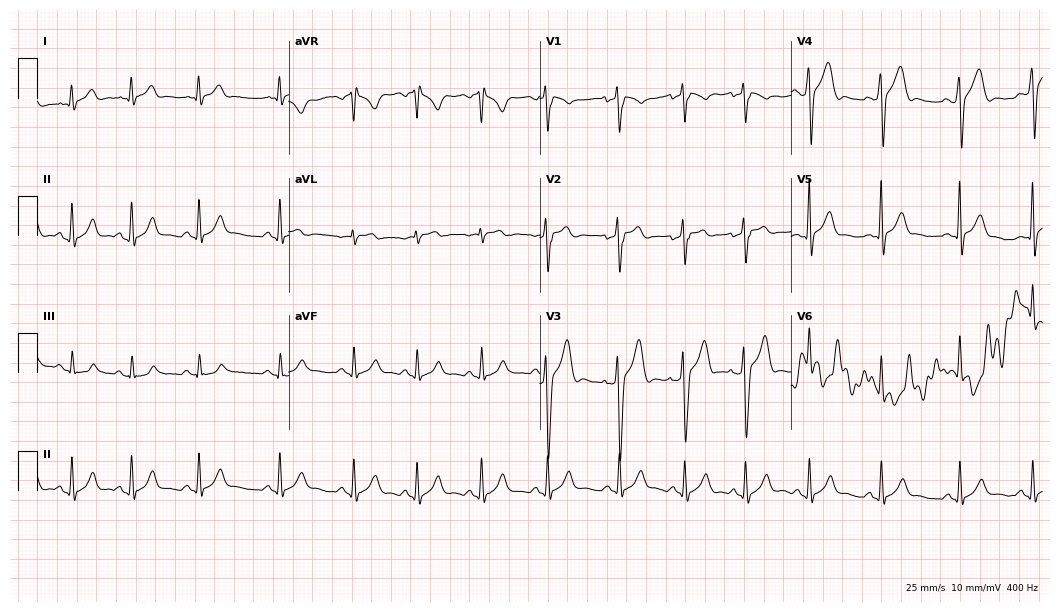
Electrocardiogram, a male, 24 years old. Overall reading on record: normal ECG.